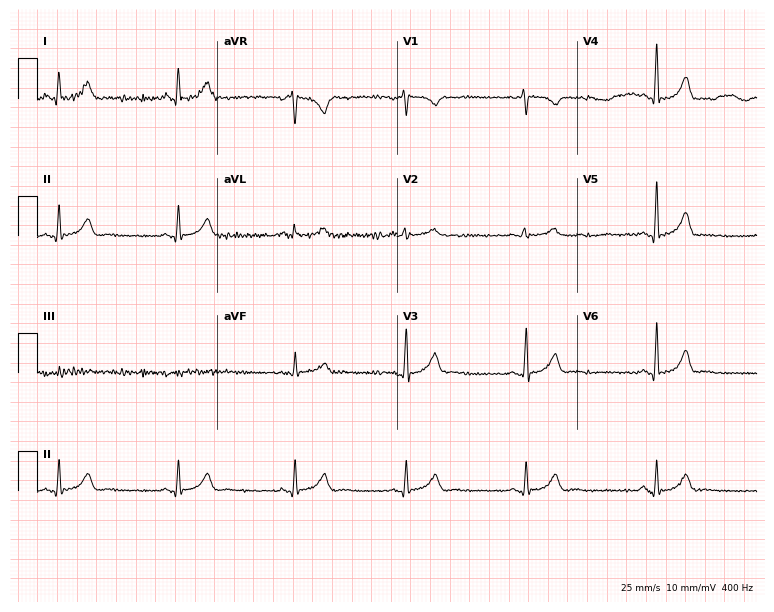
12-lead ECG from a 50-year-old woman (7.3-second recording at 400 Hz). Recorded interpretation: within normal limits.